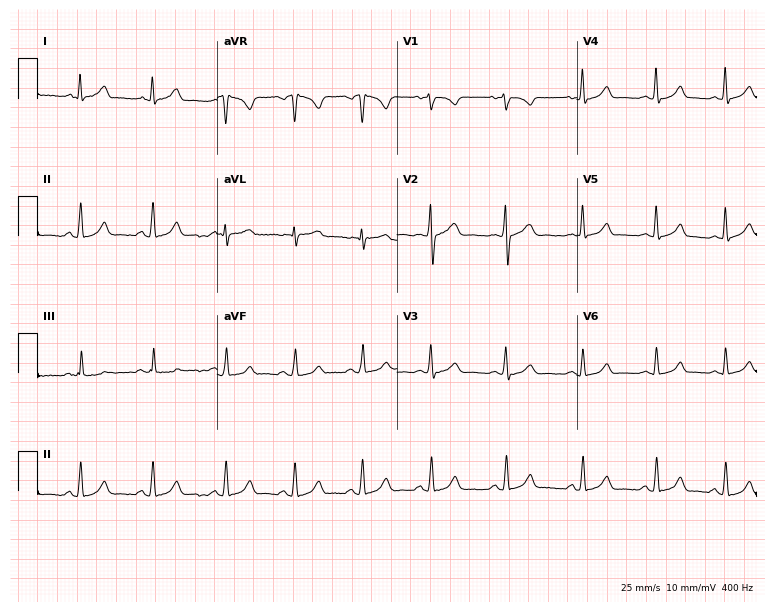
Resting 12-lead electrocardiogram. Patient: a 24-year-old woman. None of these six findings is recorded: first-degree AV block, right bundle branch block (RBBB), left bundle branch block (LBBB), sinus bradycardia, atrial fibrillation (AF), sinus tachycardia.